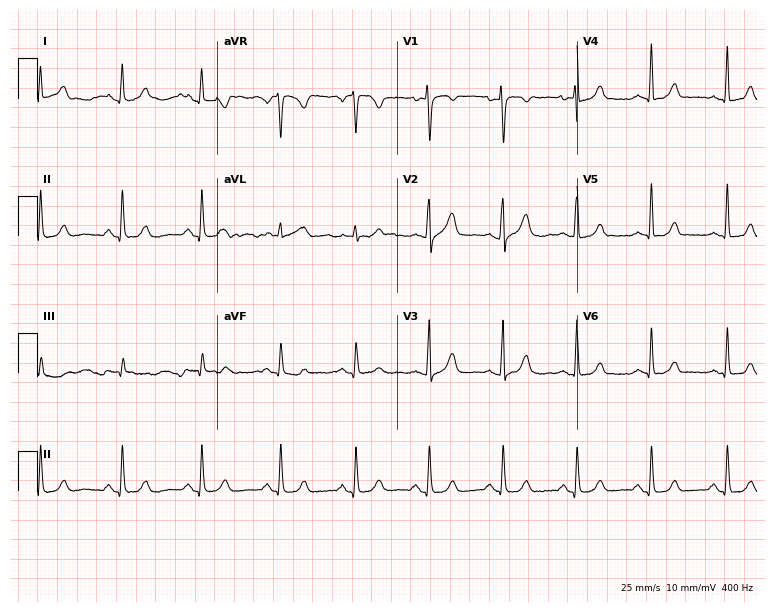
ECG (7.3-second recording at 400 Hz) — a 46-year-old woman. Labelled as a normal ECG.